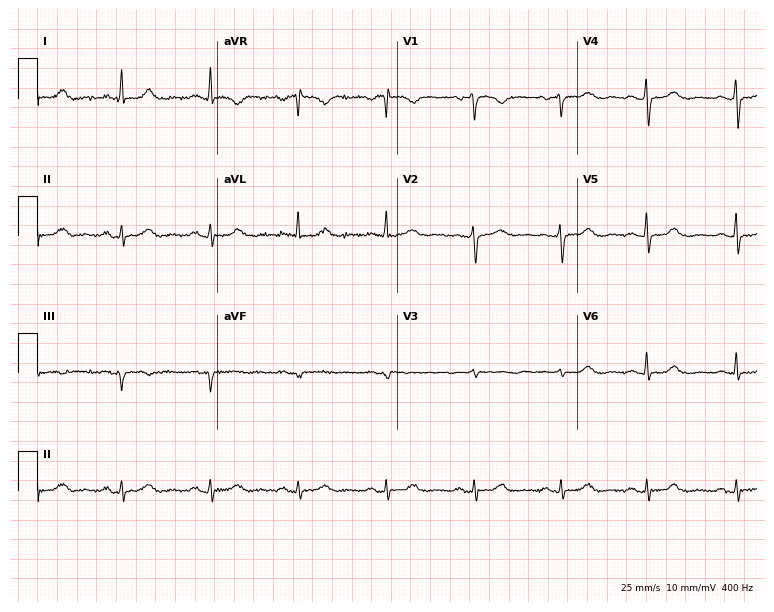
Resting 12-lead electrocardiogram (7.3-second recording at 400 Hz). Patient: a female, 57 years old. None of these six findings is recorded: first-degree AV block, right bundle branch block, left bundle branch block, sinus bradycardia, atrial fibrillation, sinus tachycardia.